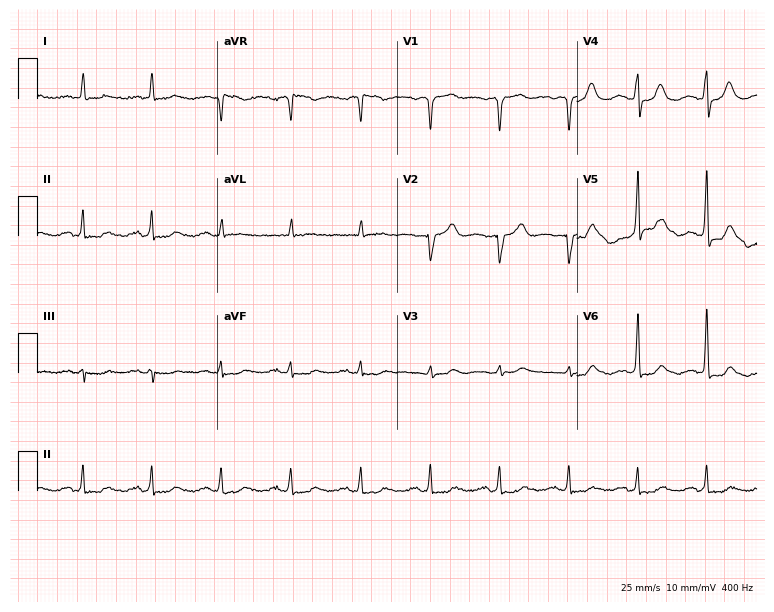
ECG — a female, 77 years old. Screened for six findings — first-degree AV block, right bundle branch block, left bundle branch block, sinus bradycardia, atrial fibrillation, sinus tachycardia — none is recorded. Findings outside these six are not listed.